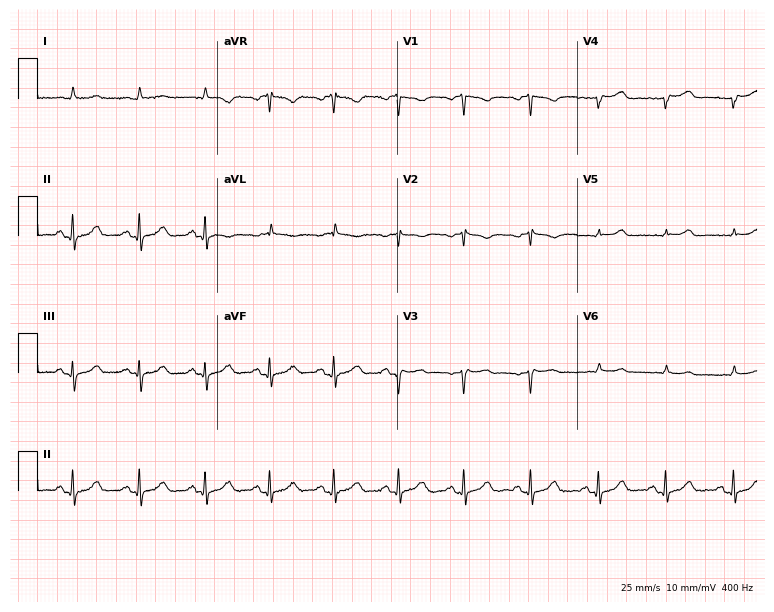
12-lead ECG from a 63-year-old male. Recorded interpretation: within normal limits.